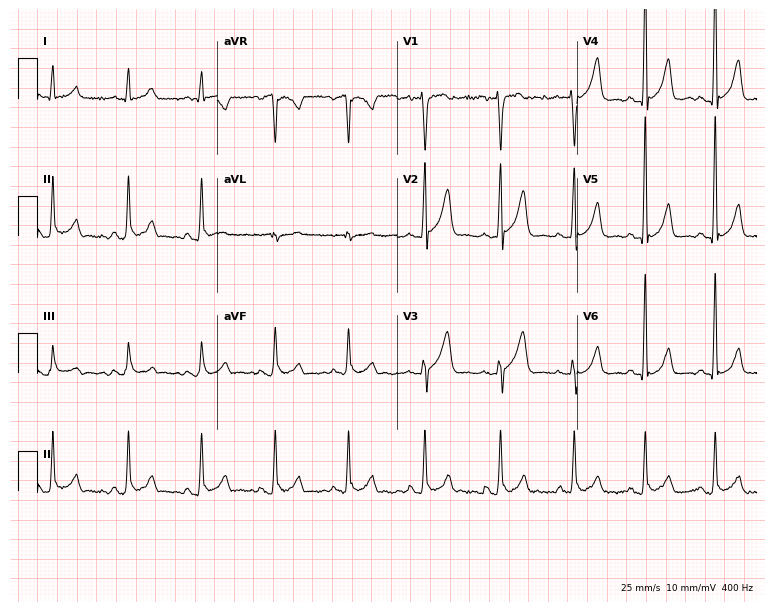
12-lead ECG (7.3-second recording at 400 Hz) from a 56-year-old man. Screened for six findings — first-degree AV block, right bundle branch block, left bundle branch block, sinus bradycardia, atrial fibrillation, sinus tachycardia — none is recorded.